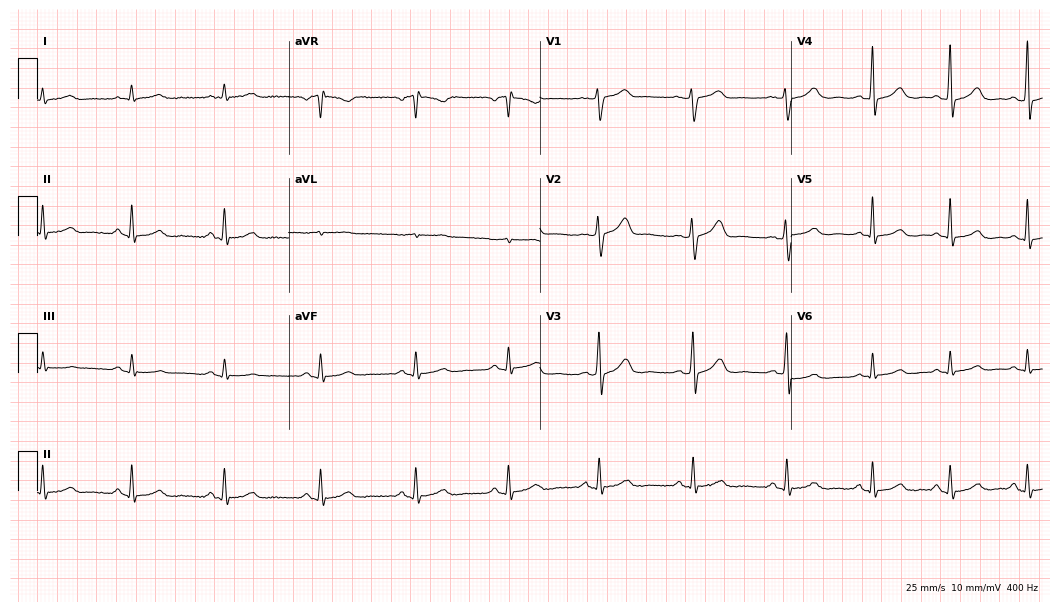
12-lead ECG from a male patient, 39 years old. No first-degree AV block, right bundle branch block, left bundle branch block, sinus bradycardia, atrial fibrillation or sinus tachycardia recorded for this tracing. Only these six findings were labelled.